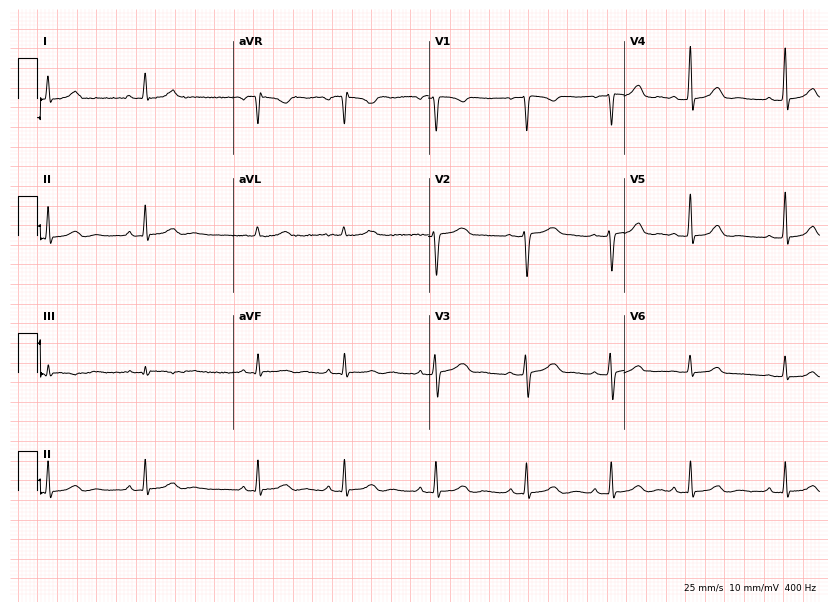
Electrocardiogram (8-second recording at 400 Hz), a woman, 28 years old. Overall reading on record: normal ECG.